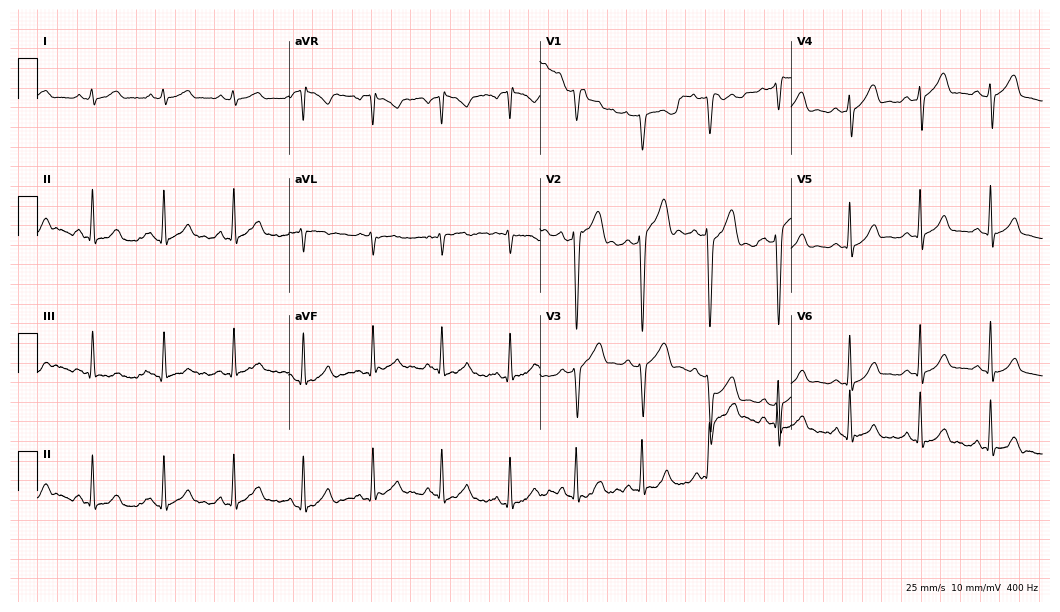
ECG — a 48-year-old male. Screened for six findings — first-degree AV block, right bundle branch block (RBBB), left bundle branch block (LBBB), sinus bradycardia, atrial fibrillation (AF), sinus tachycardia — none is recorded. Only these six findings were labelled.